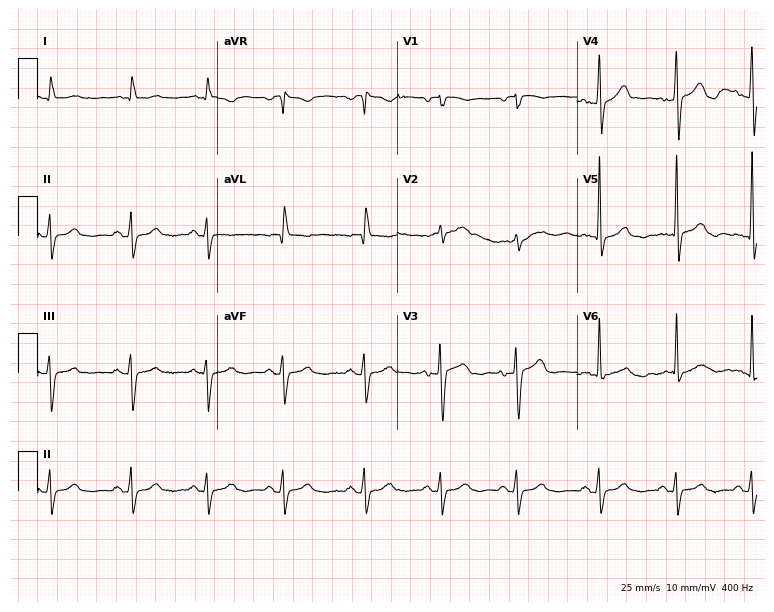
Electrocardiogram (7.3-second recording at 400 Hz), a female patient, 82 years old. Of the six screened findings (first-degree AV block, right bundle branch block (RBBB), left bundle branch block (LBBB), sinus bradycardia, atrial fibrillation (AF), sinus tachycardia), none is recorded.